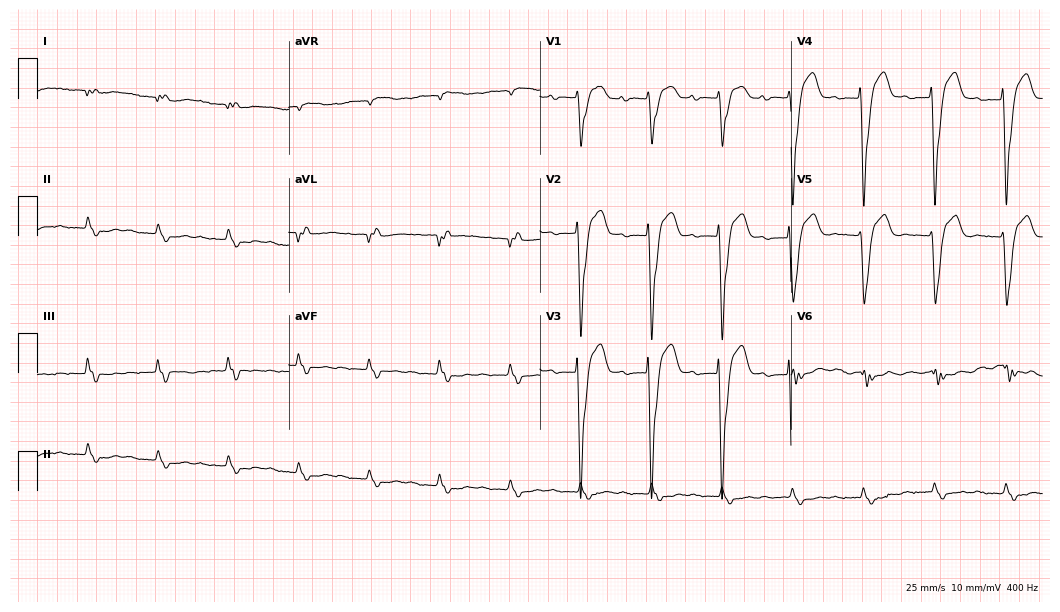
12-lead ECG (10.2-second recording at 400 Hz) from a woman, 79 years old. Findings include first-degree AV block, left bundle branch block.